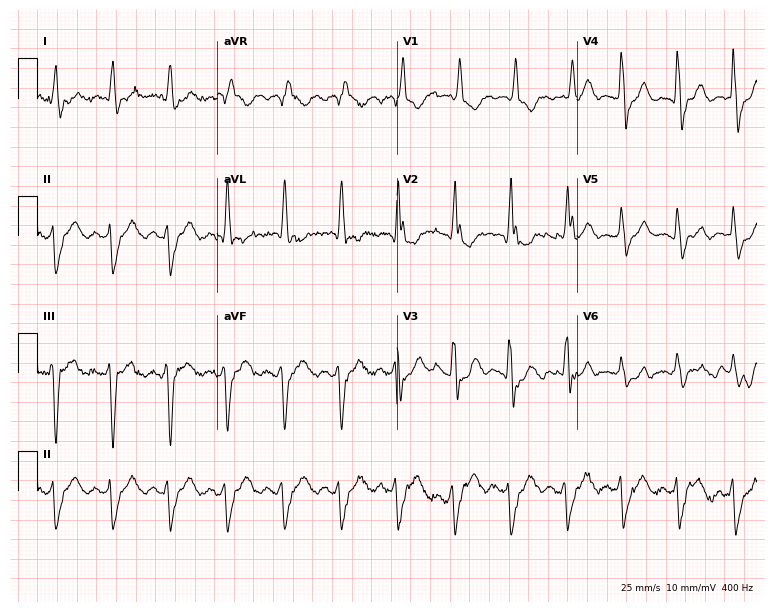
12-lead ECG from a female, 78 years old. Findings include right bundle branch block.